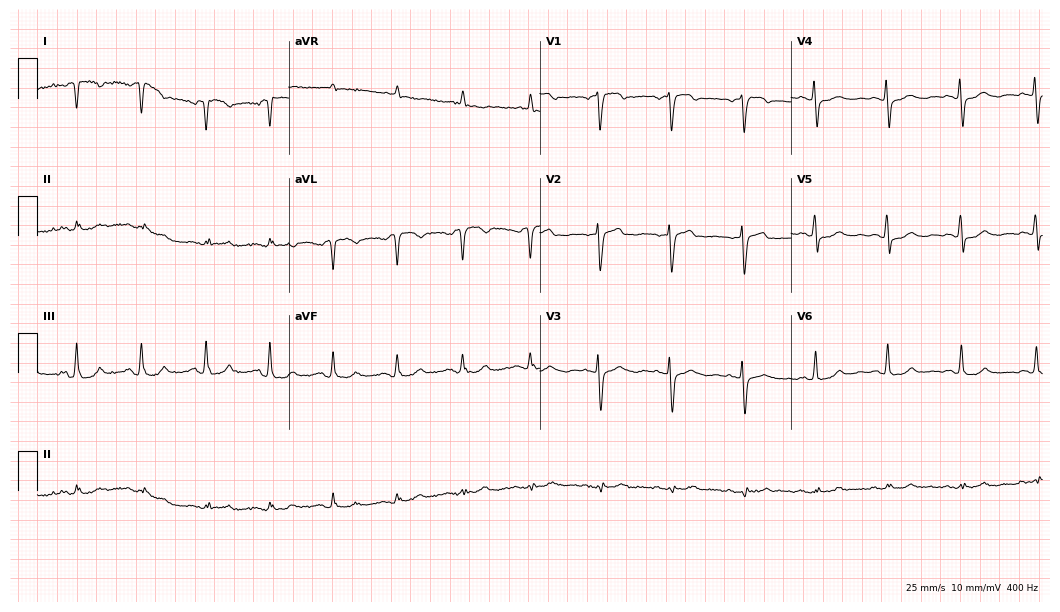
12-lead ECG from a female, 61 years old (10.2-second recording at 400 Hz). No first-degree AV block, right bundle branch block (RBBB), left bundle branch block (LBBB), sinus bradycardia, atrial fibrillation (AF) or sinus tachycardia recorded for this tracing.